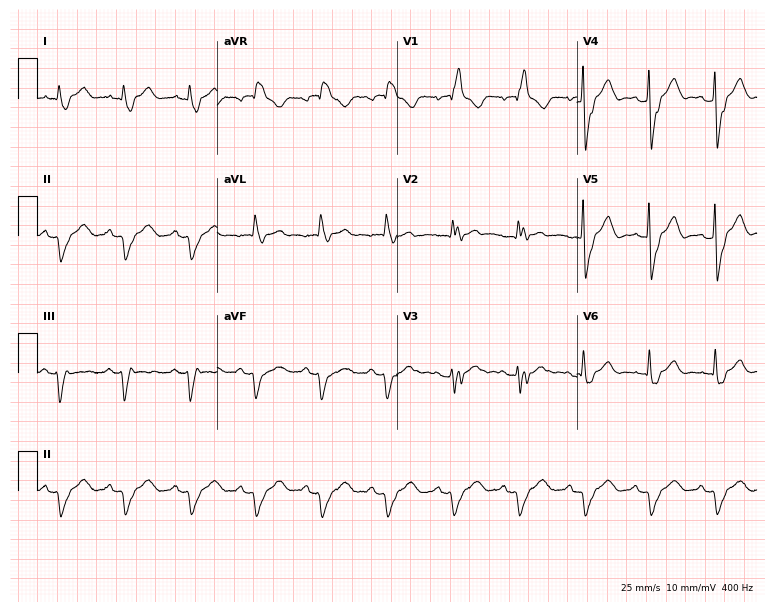
Resting 12-lead electrocardiogram. Patient: a male, 80 years old. The tracing shows right bundle branch block (RBBB).